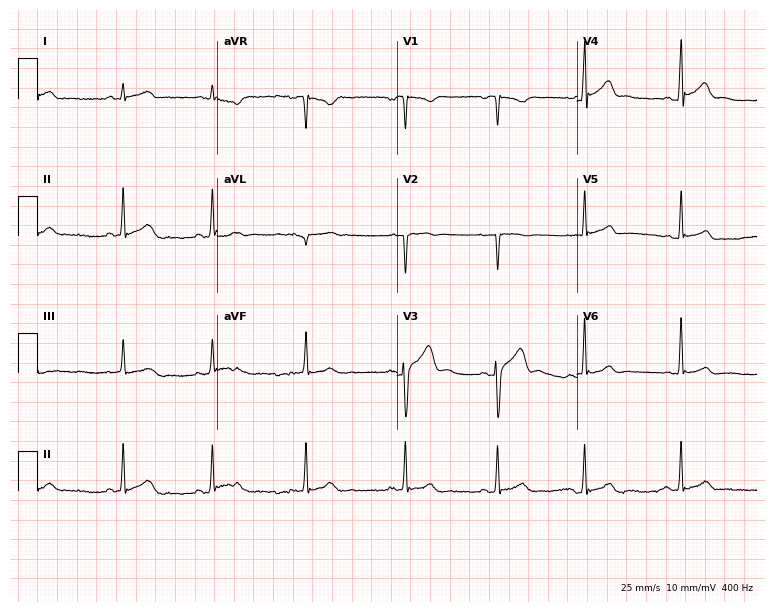
Standard 12-lead ECG recorded from a 22-year-old male patient. None of these six findings is recorded: first-degree AV block, right bundle branch block, left bundle branch block, sinus bradycardia, atrial fibrillation, sinus tachycardia.